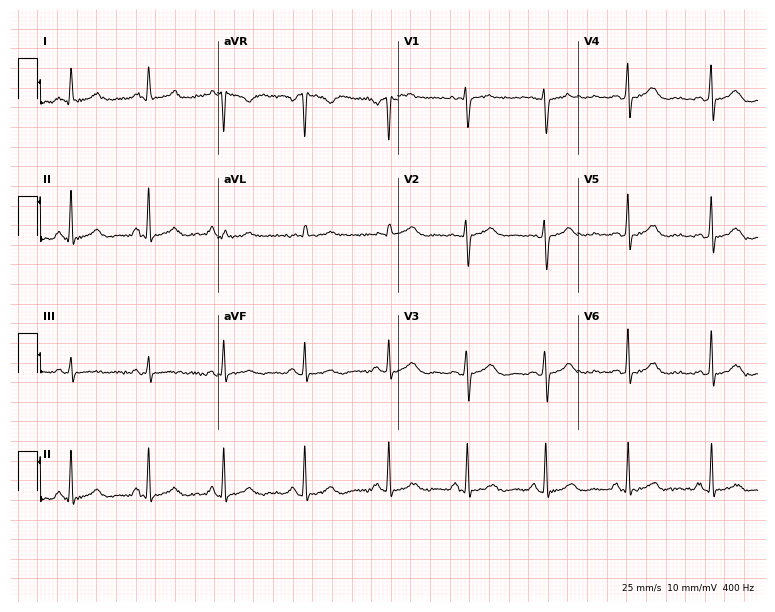
12-lead ECG from a female, 33 years old. Recorded interpretation: within normal limits.